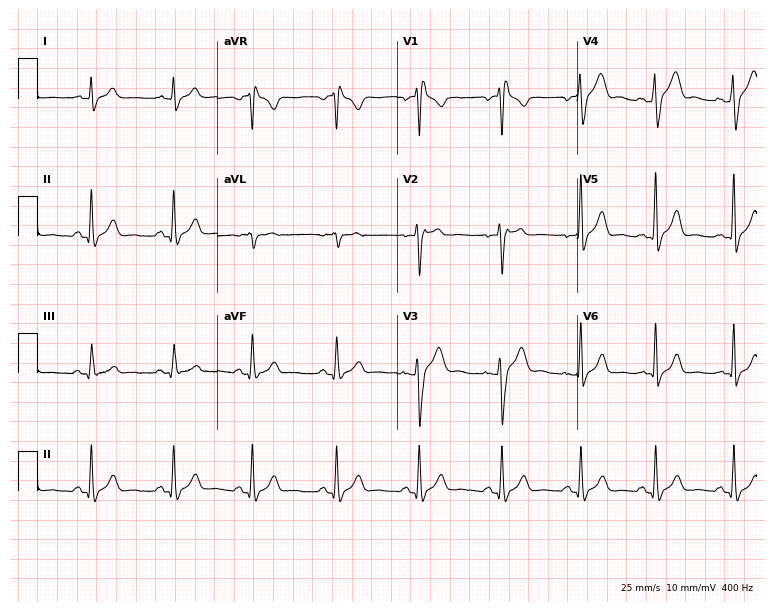
Resting 12-lead electrocardiogram (7.3-second recording at 400 Hz). Patient: a 25-year-old male. None of these six findings is recorded: first-degree AV block, right bundle branch block (RBBB), left bundle branch block (LBBB), sinus bradycardia, atrial fibrillation (AF), sinus tachycardia.